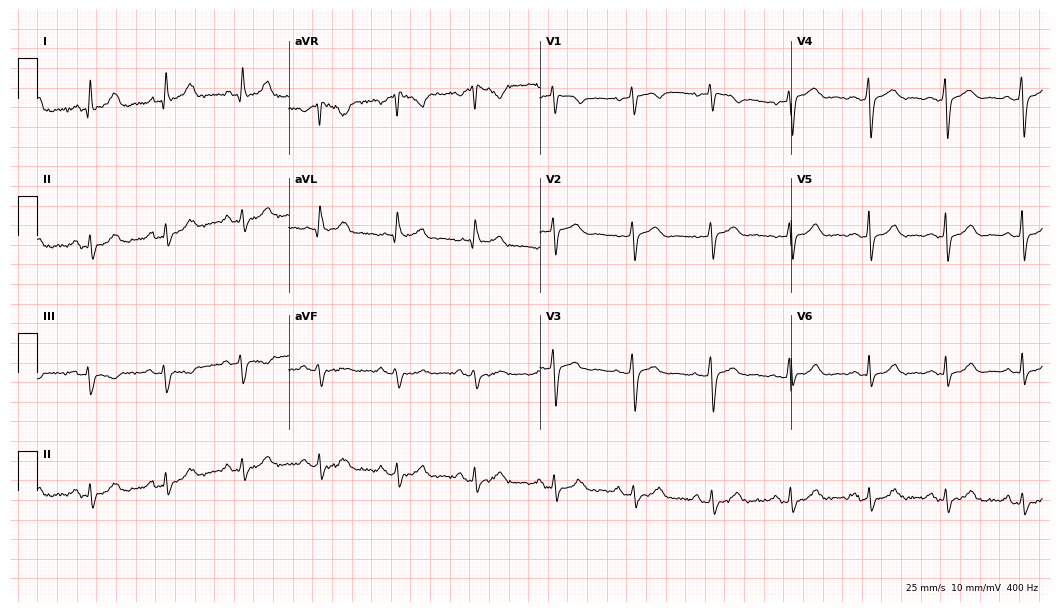
Resting 12-lead electrocardiogram (10.2-second recording at 400 Hz). Patient: a female, 56 years old. None of these six findings is recorded: first-degree AV block, right bundle branch block, left bundle branch block, sinus bradycardia, atrial fibrillation, sinus tachycardia.